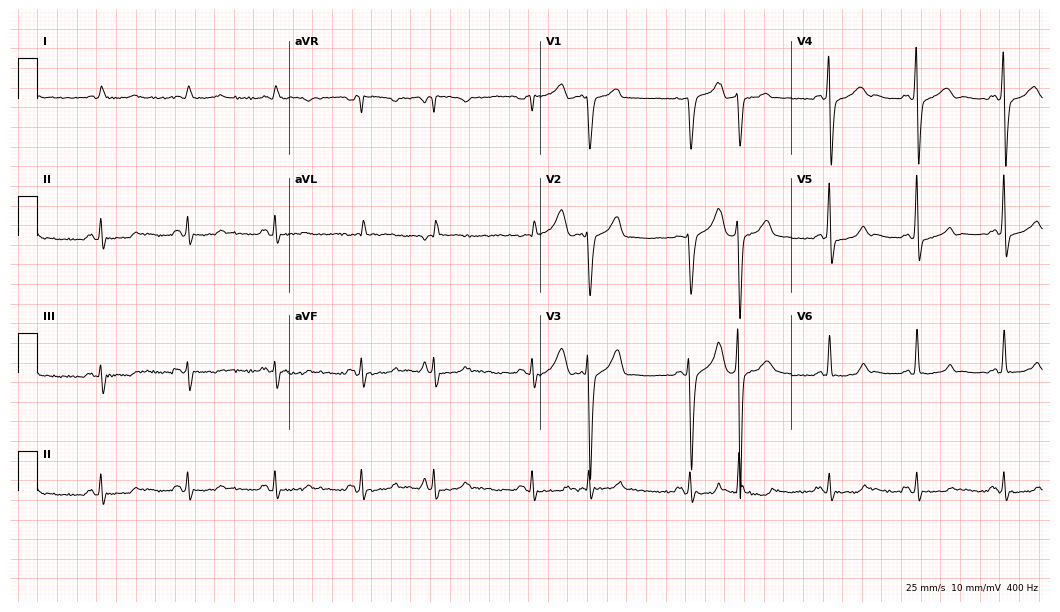
Electrocardiogram, a 43-year-old male patient. Of the six screened findings (first-degree AV block, right bundle branch block (RBBB), left bundle branch block (LBBB), sinus bradycardia, atrial fibrillation (AF), sinus tachycardia), none is recorded. Other findings, if any, are not listed.